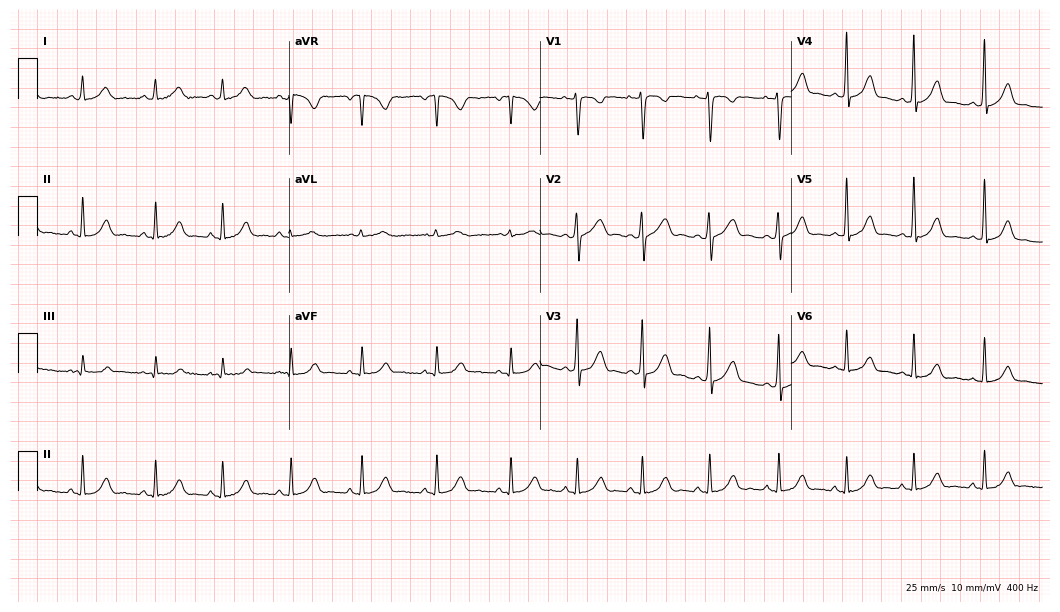
12-lead ECG (10.2-second recording at 400 Hz) from a 34-year-old woman. Screened for six findings — first-degree AV block, right bundle branch block (RBBB), left bundle branch block (LBBB), sinus bradycardia, atrial fibrillation (AF), sinus tachycardia — none is recorded.